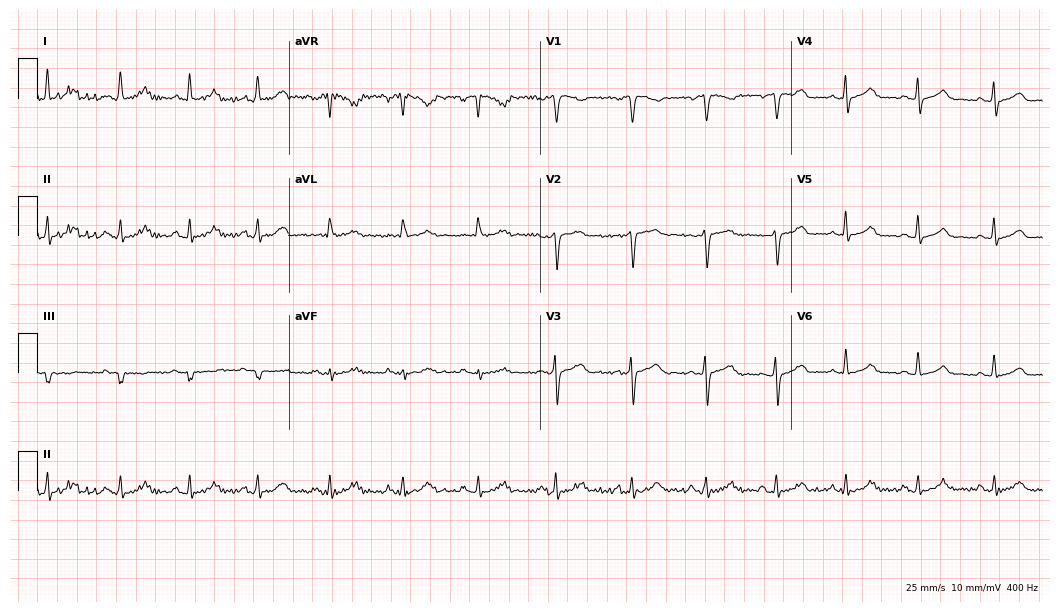
ECG — a female, 57 years old. Labelled as a normal ECG.